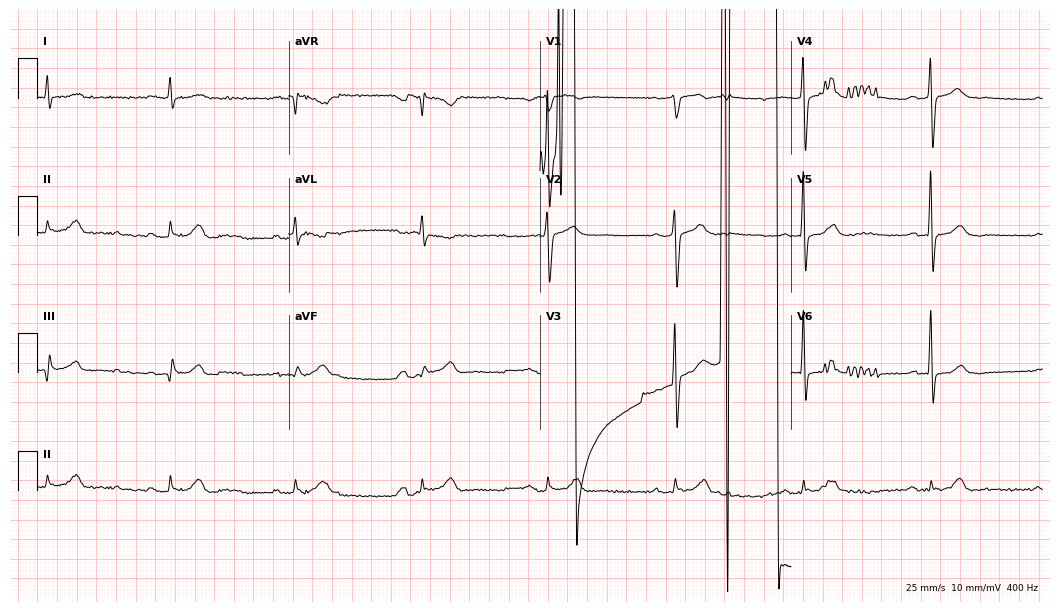
ECG (10.2-second recording at 400 Hz) — a 73-year-old male. Findings include atrial fibrillation (AF).